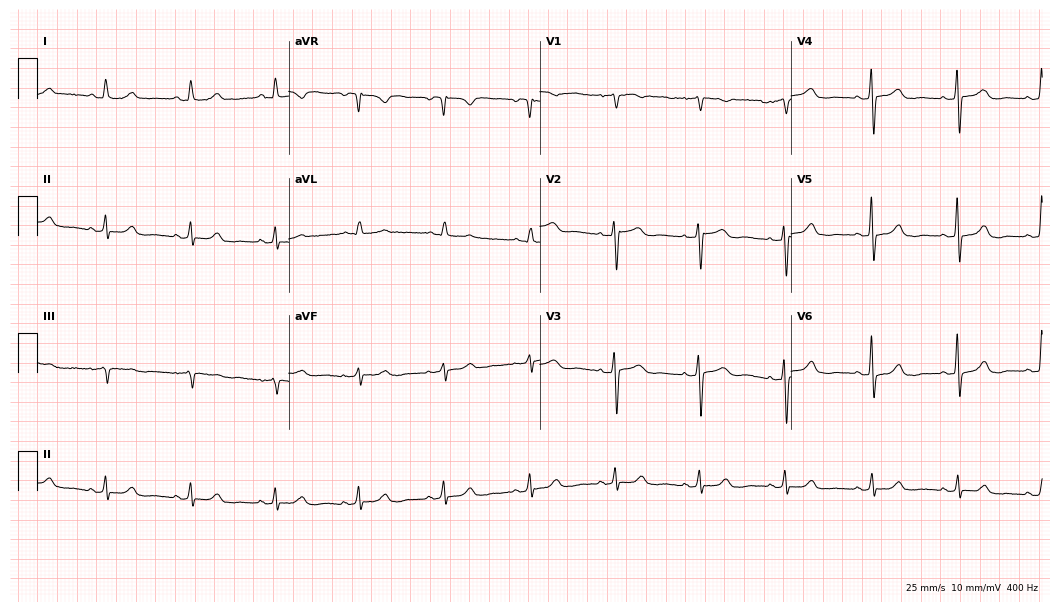
Electrocardiogram (10.2-second recording at 400 Hz), a female, 77 years old. Overall reading on record: normal ECG.